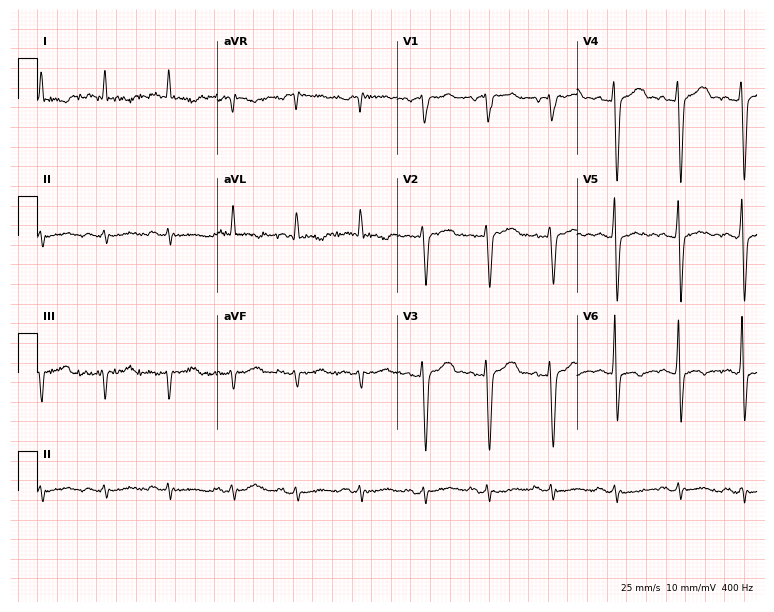
Electrocardiogram (7.3-second recording at 400 Hz), a man, 75 years old. Of the six screened findings (first-degree AV block, right bundle branch block, left bundle branch block, sinus bradycardia, atrial fibrillation, sinus tachycardia), none is recorded. Findings outside these six are not listed.